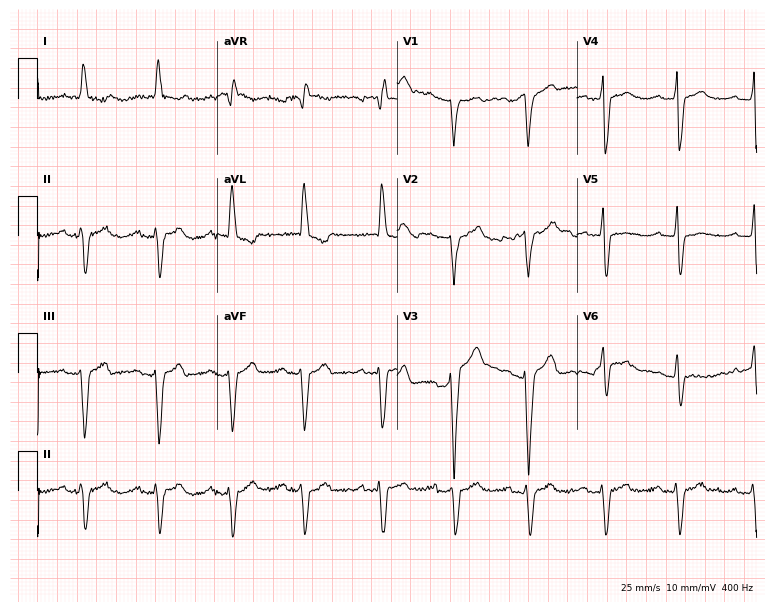
Standard 12-lead ECG recorded from an 80-year-old female. The tracing shows first-degree AV block.